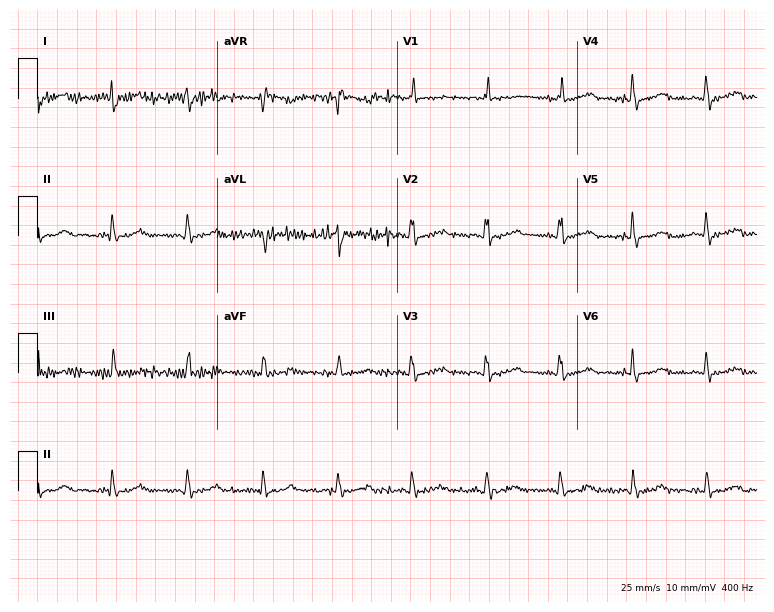
ECG (7.3-second recording at 400 Hz) — a 53-year-old female patient. Screened for six findings — first-degree AV block, right bundle branch block, left bundle branch block, sinus bradycardia, atrial fibrillation, sinus tachycardia — none is recorded. Other findings, if any, are not listed.